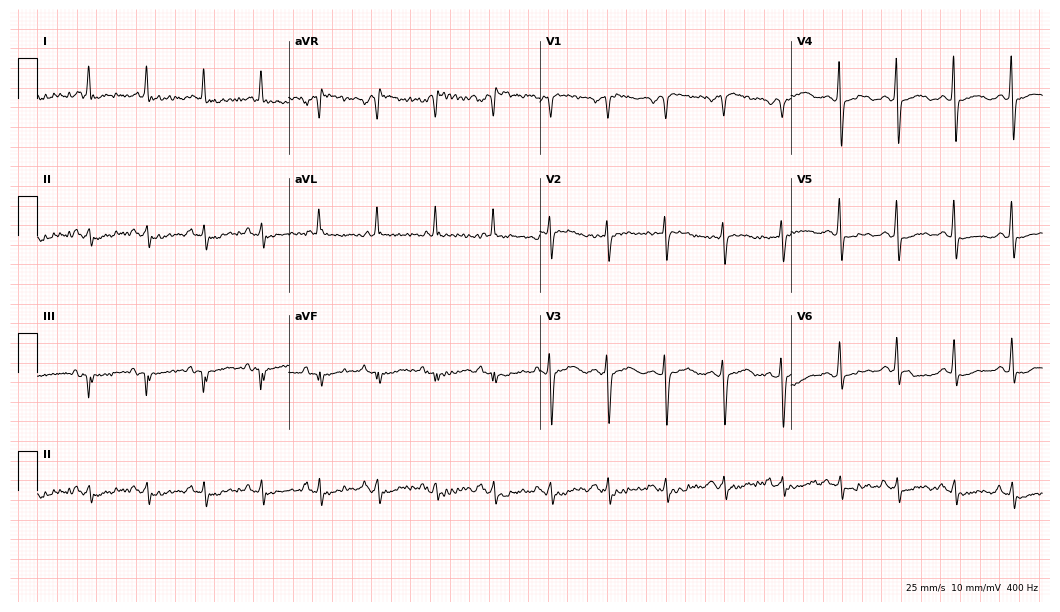
12-lead ECG from an 88-year-old female. Findings include sinus tachycardia (a sinus rate of 100 beats per minute or more).